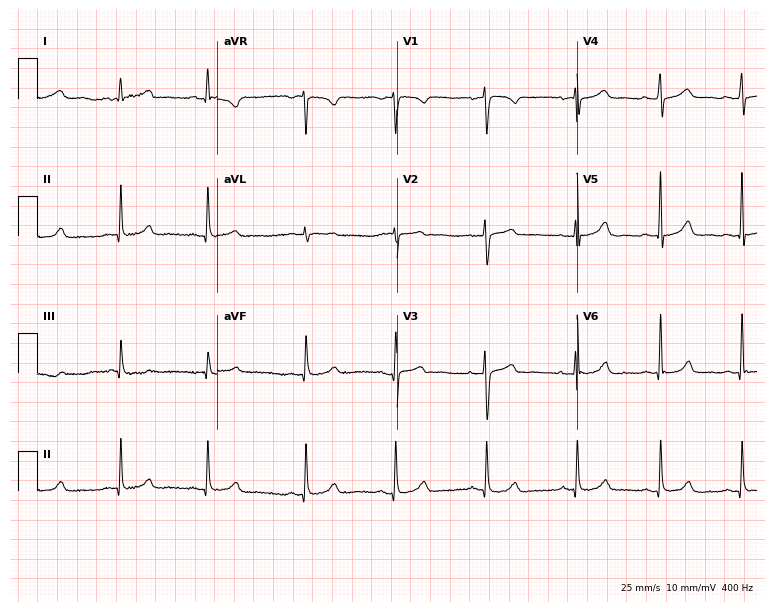
Electrocardiogram, a 39-year-old female. Overall reading on record: normal ECG.